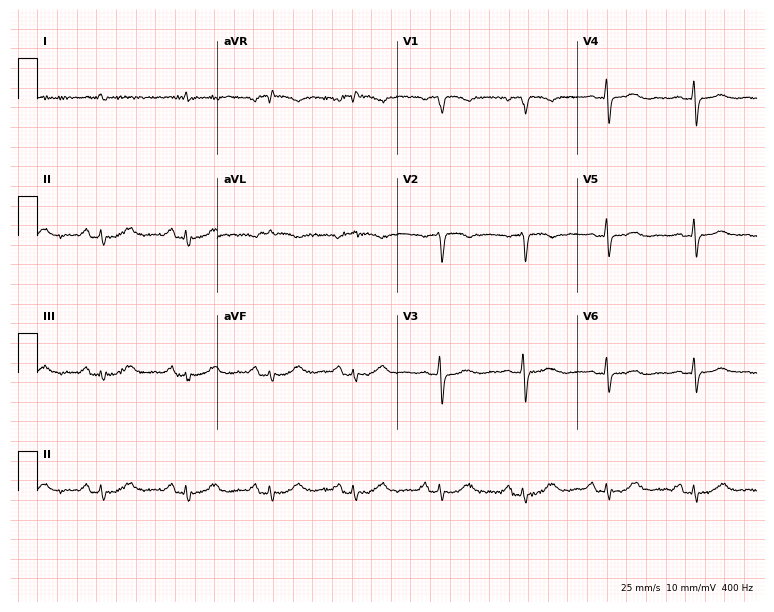
ECG — a 77-year-old man. Screened for six findings — first-degree AV block, right bundle branch block, left bundle branch block, sinus bradycardia, atrial fibrillation, sinus tachycardia — none is recorded.